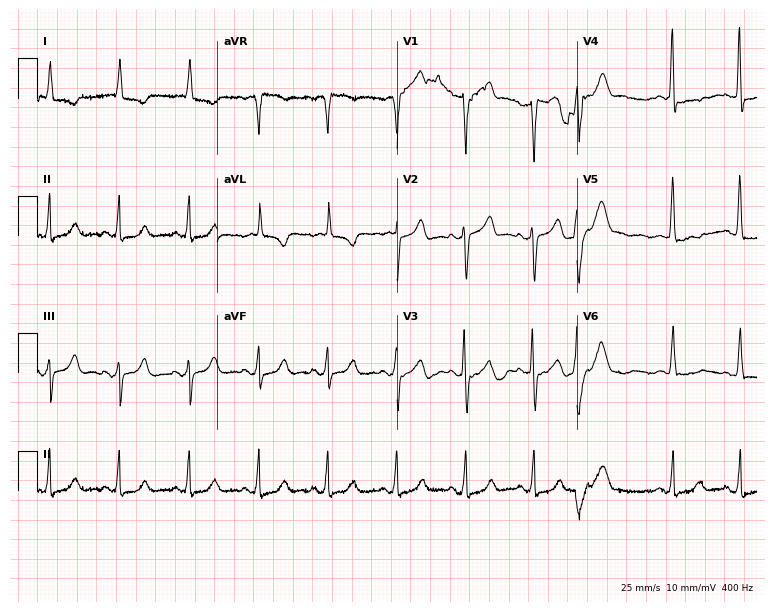
12-lead ECG from an 80-year-old female. Screened for six findings — first-degree AV block, right bundle branch block, left bundle branch block, sinus bradycardia, atrial fibrillation, sinus tachycardia — none is recorded. Other findings, if any, are not listed.